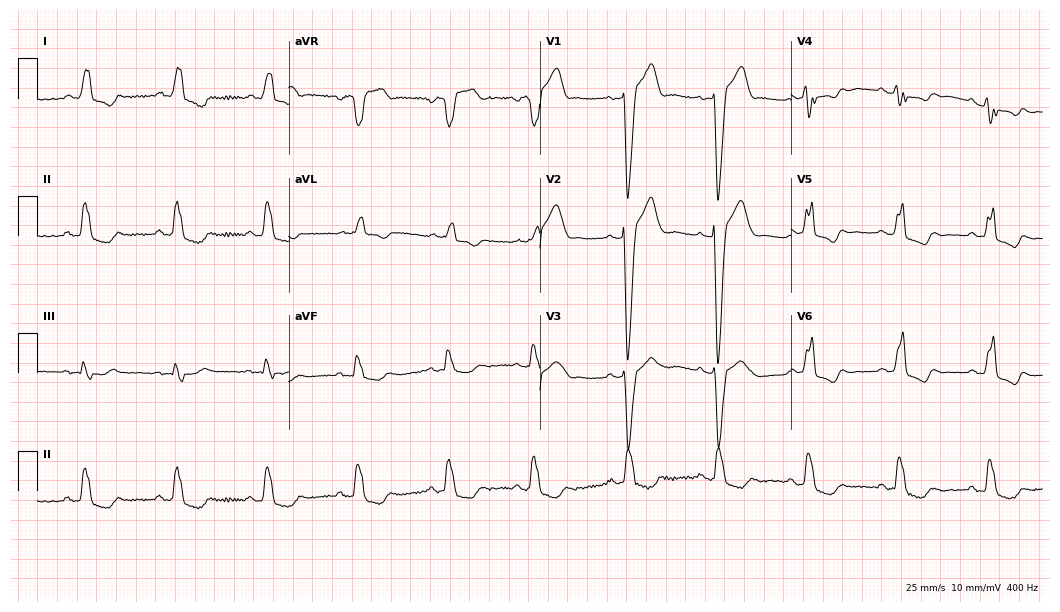
Resting 12-lead electrocardiogram. Patient: a man, 66 years old. The tracing shows left bundle branch block.